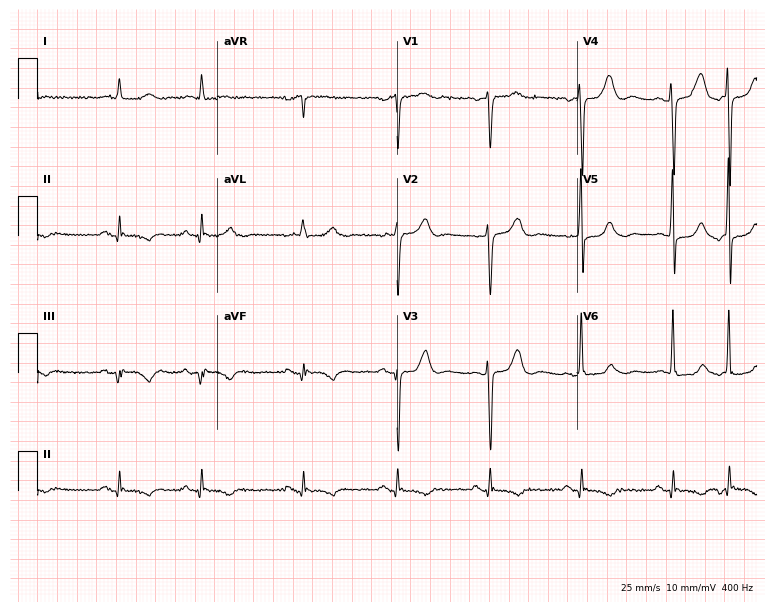
12-lead ECG from a male patient, 82 years old. Screened for six findings — first-degree AV block, right bundle branch block, left bundle branch block, sinus bradycardia, atrial fibrillation, sinus tachycardia — none is recorded.